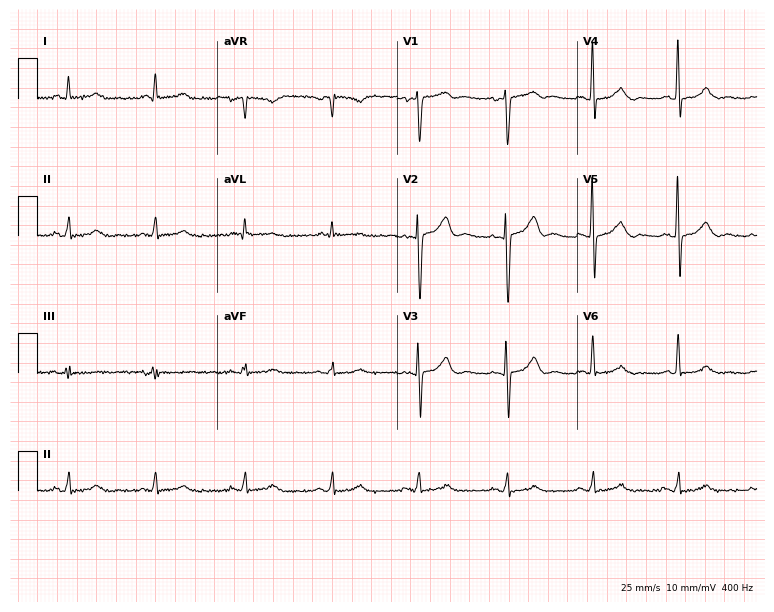
Resting 12-lead electrocardiogram (7.3-second recording at 400 Hz). Patient: a man, 59 years old. Read as a normal ECG.